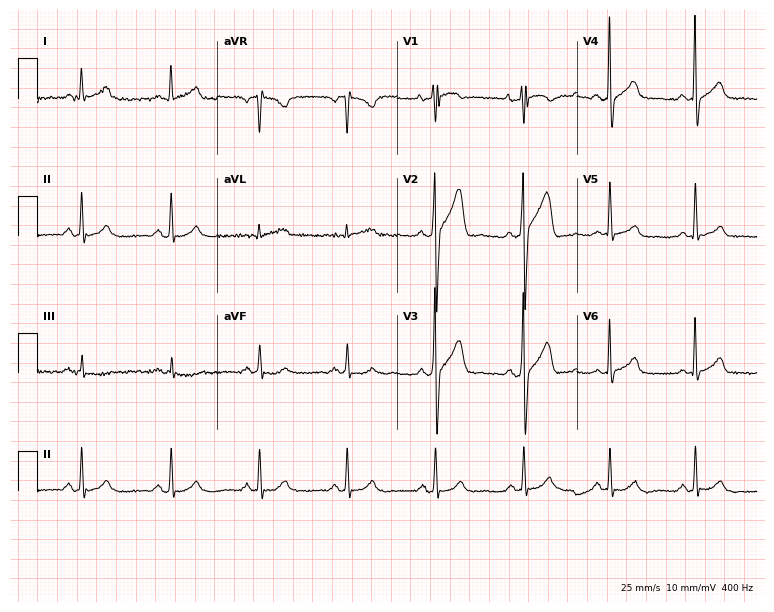
12-lead ECG (7.3-second recording at 400 Hz) from a female, 46 years old. Labelled as a normal ECG.